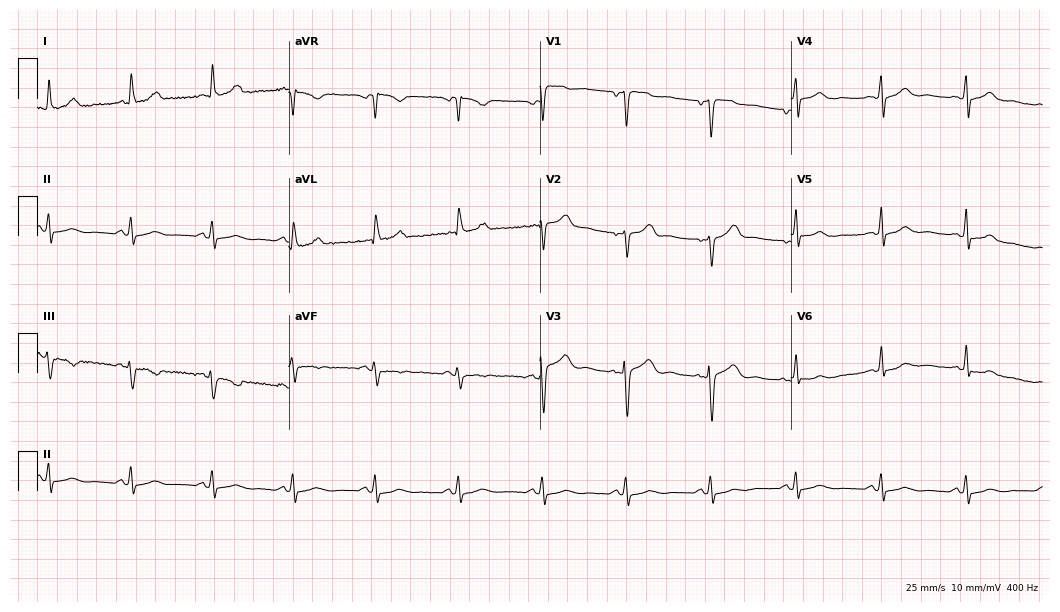
Standard 12-lead ECG recorded from a female, 47 years old. Read as a normal ECG.